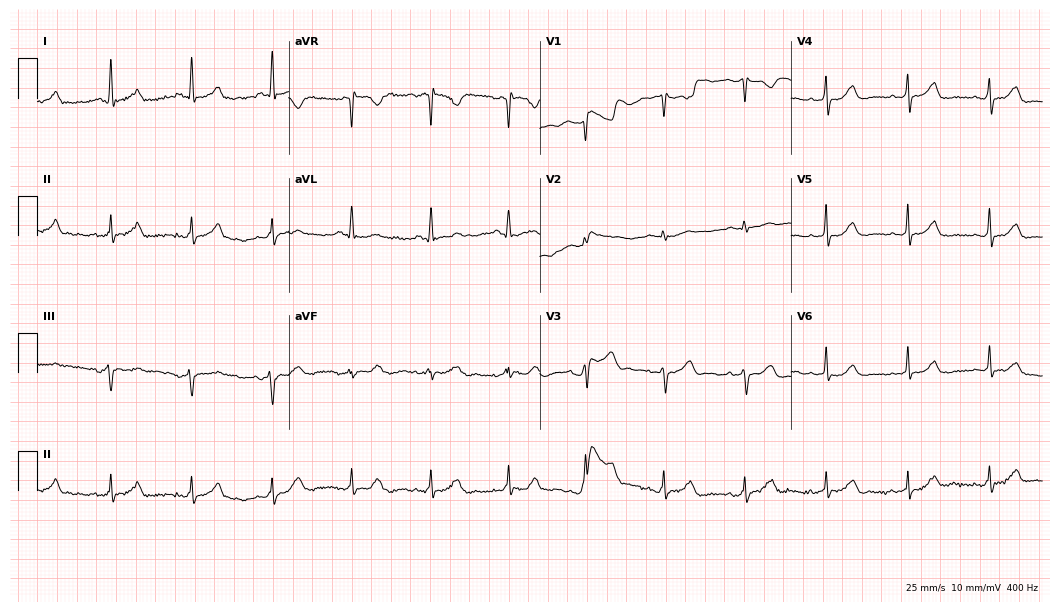
ECG (10.2-second recording at 400 Hz) — a male, 59 years old. Screened for six findings — first-degree AV block, right bundle branch block, left bundle branch block, sinus bradycardia, atrial fibrillation, sinus tachycardia — none is recorded. Other findings, if any, are not listed.